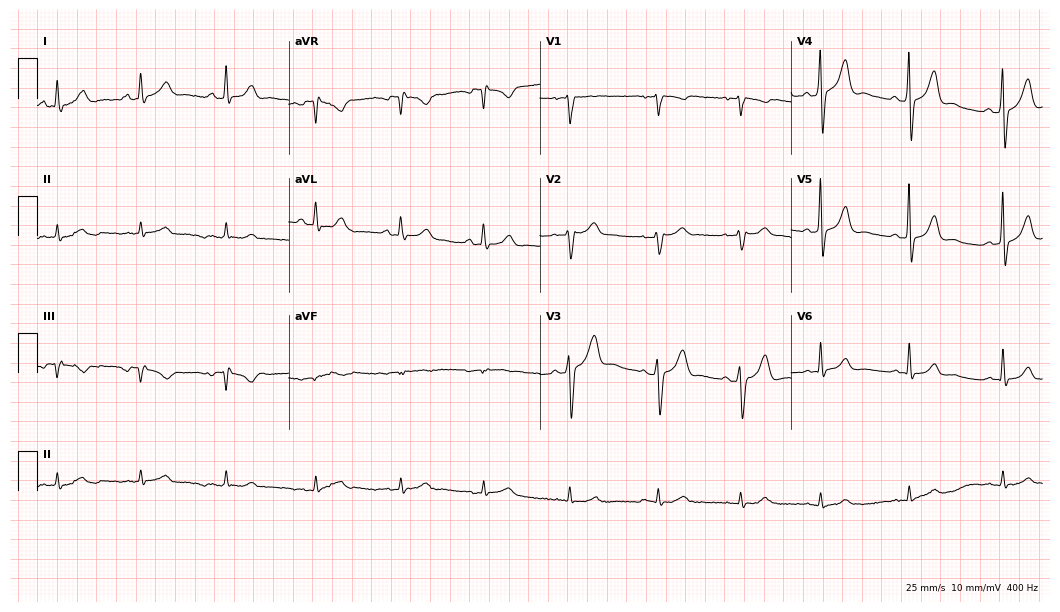
12-lead ECG (10.2-second recording at 400 Hz) from a male patient, 52 years old. Screened for six findings — first-degree AV block, right bundle branch block, left bundle branch block, sinus bradycardia, atrial fibrillation, sinus tachycardia — none is recorded.